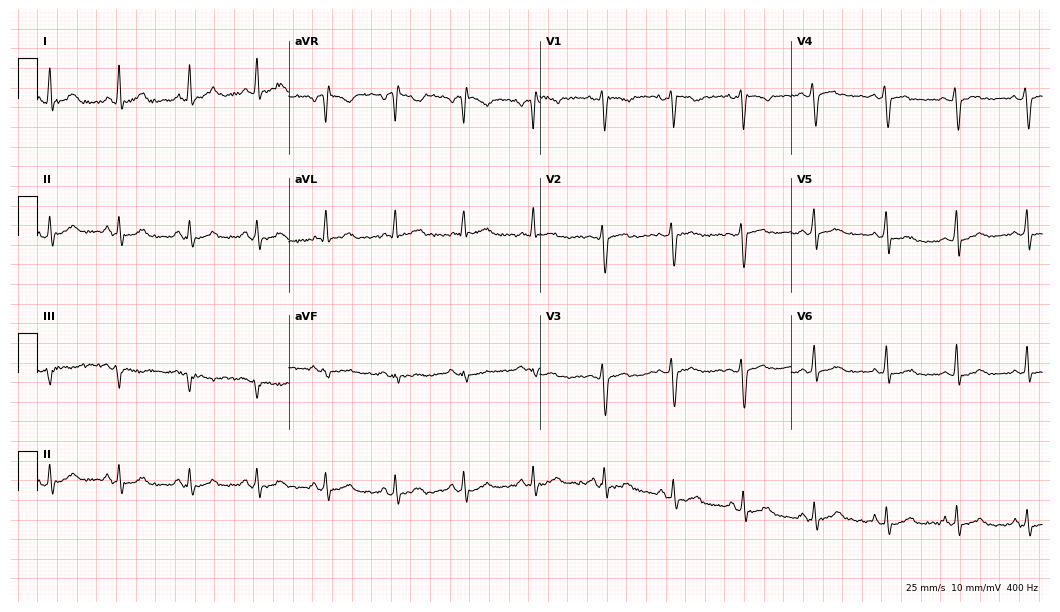
12-lead ECG (10.2-second recording at 400 Hz) from a 34-year-old female patient. Labelled as a normal ECG.